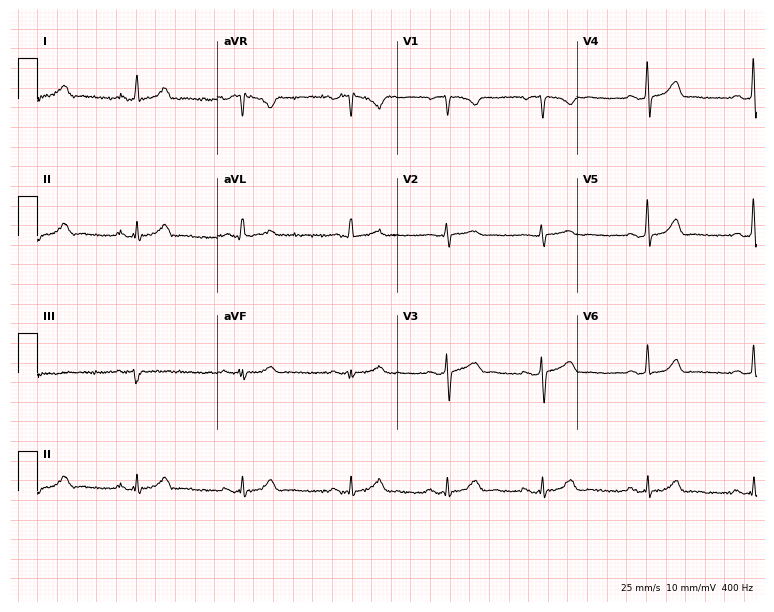
12-lead ECG (7.3-second recording at 400 Hz) from a 43-year-old female. Labelled as a normal ECG.